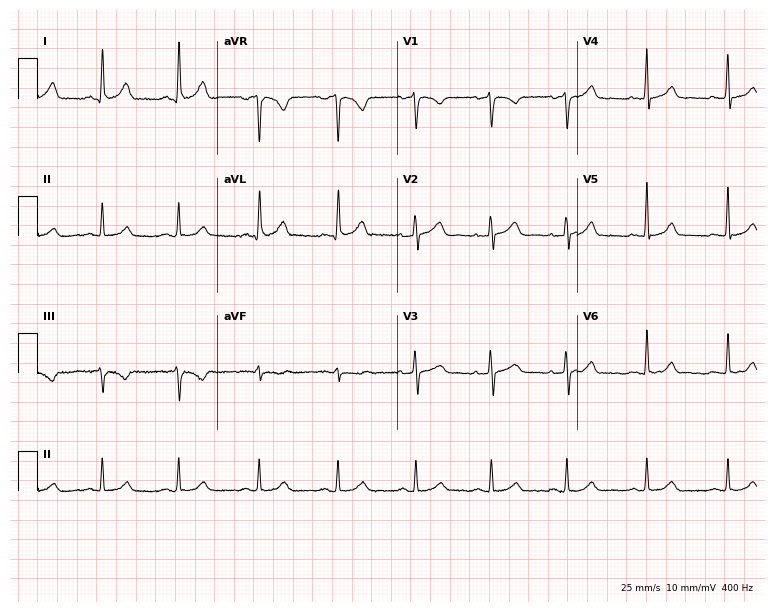
Electrocardiogram (7.3-second recording at 400 Hz), a female, 42 years old. Overall reading on record: normal ECG.